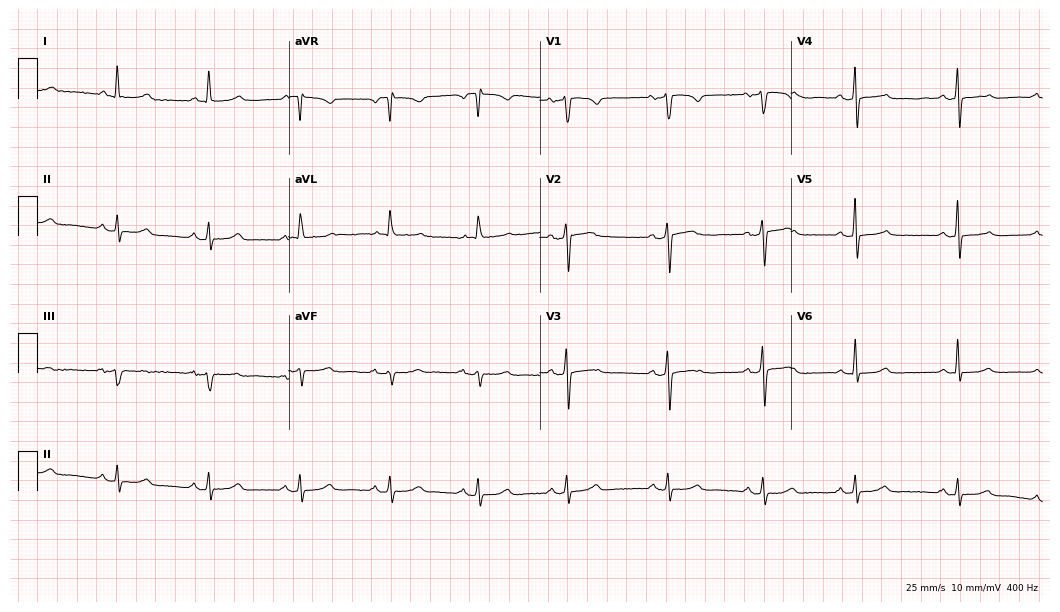
12-lead ECG (10.2-second recording at 400 Hz) from a woman, 87 years old. Labelled as a normal ECG.